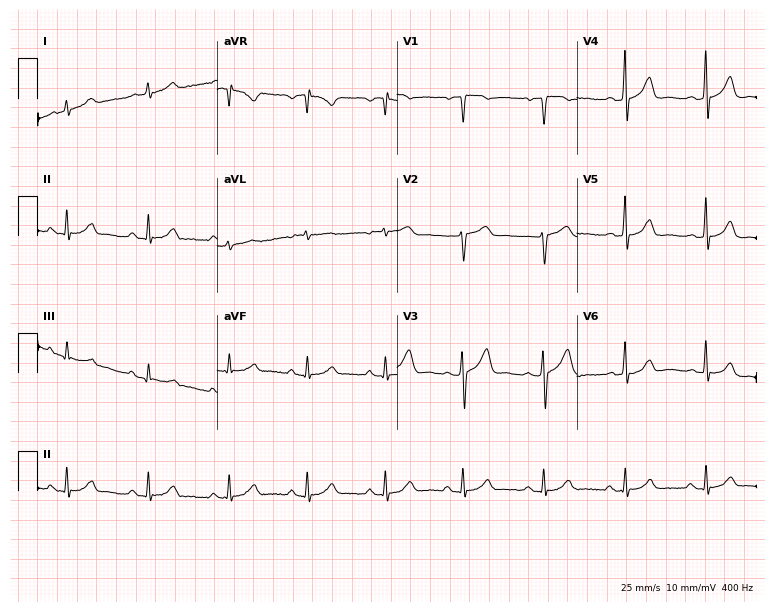
12-lead ECG (7.3-second recording at 400 Hz) from a male, 71 years old. Screened for six findings — first-degree AV block, right bundle branch block, left bundle branch block, sinus bradycardia, atrial fibrillation, sinus tachycardia — none is recorded.